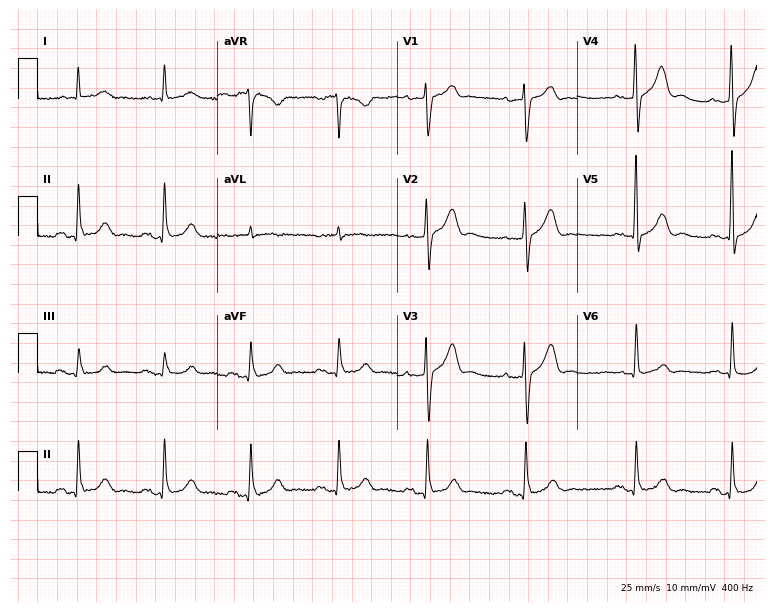
Electrocardiogram (7.3-second recording at 400 Hz), a male patient, 75 years old. Overall reading on record: normal ECG.